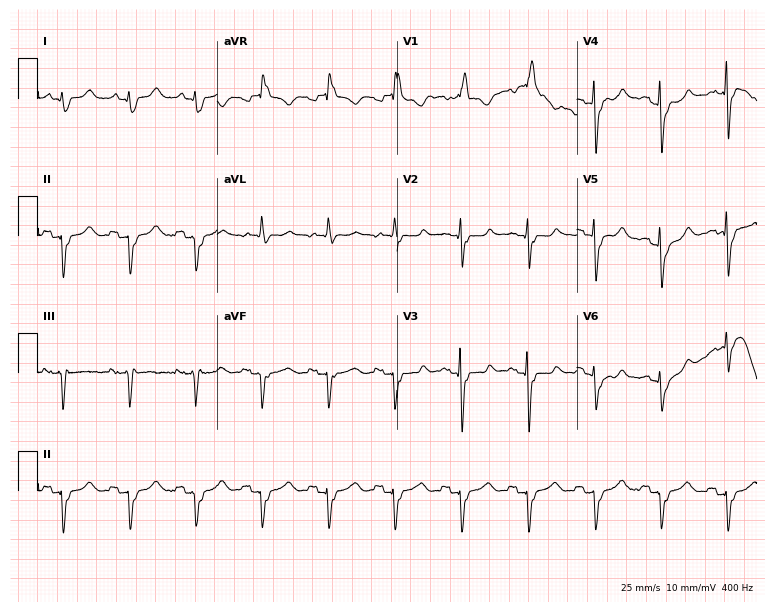
Standard 12-lead ECG recorded from a 79-year-old female patient (7.3-second recording at 400 Hz). The tracing shows right bundle branch block (RBBB).